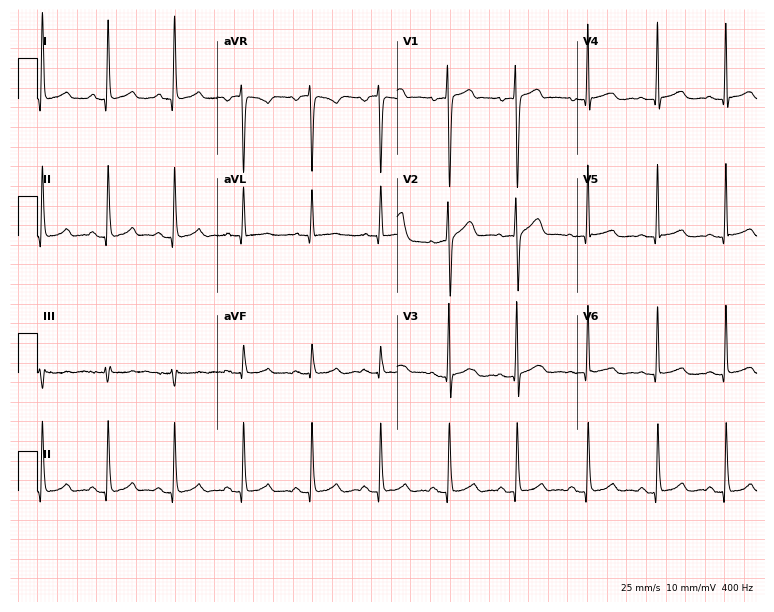
12-lead ECG from a 40-year-old female patient (7.3-second recording at 400 Hz). Recorded interpretation: within normal limits.